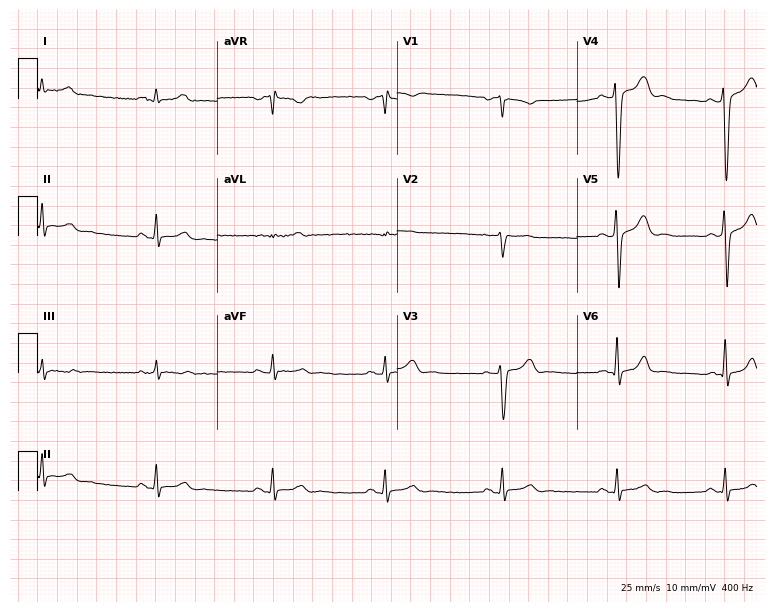
12-lead ECG from a 24-year-old man. No first-degree AV block, right bundle branch block (RBBB), left bundle branch block (LBBB), sinus bradycardia, atrial fibrillation (AF) or sinus tachycardia recorded for this tracing. Only these six findings were labelled.